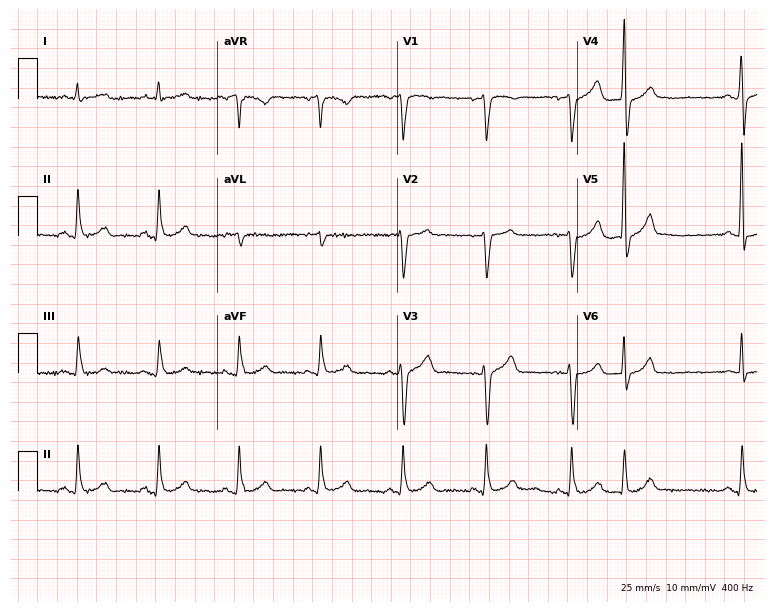
Standard 12-lead ECG recorded from a 59-year-old male patient (7.3-second recording at 400 Hz). Read as a normal ECG.